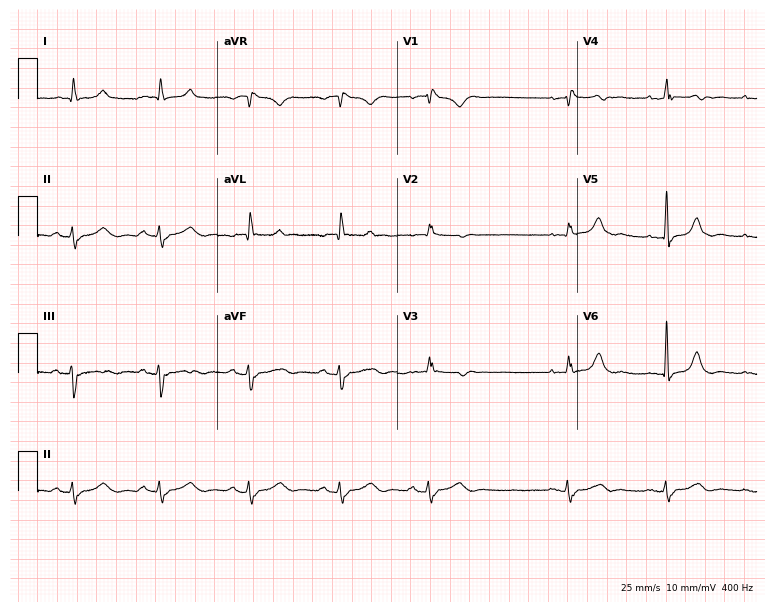
ECG — a 69-year-old female. Screened for six findings — first-degree AV block, right bundle branch block (RBBB), left bundle branch block (LBBB), sinus bradycardia, atrial fibrillation (AF), sinus tachycardia — none is recorded. Only these six findings were labelled.